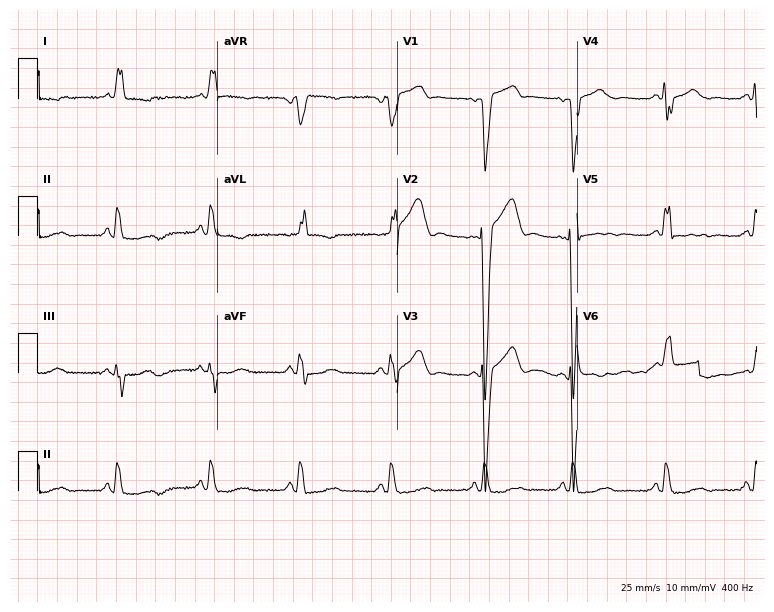
Electrocardiogram, a 54-year-old woman. Interpretation includes left bundle branch block.